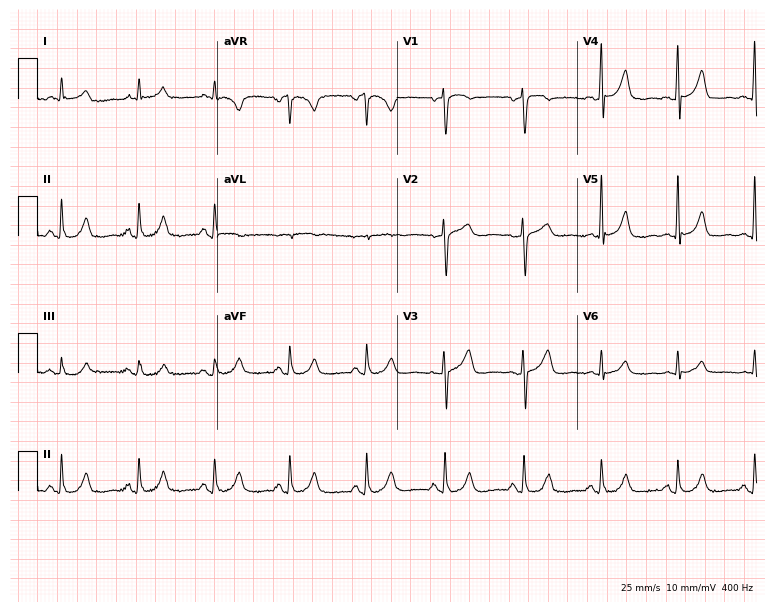
ECG (7.3-second recording at 400 Hz) — an 84-year-old man. Labelled as a normal ECG.